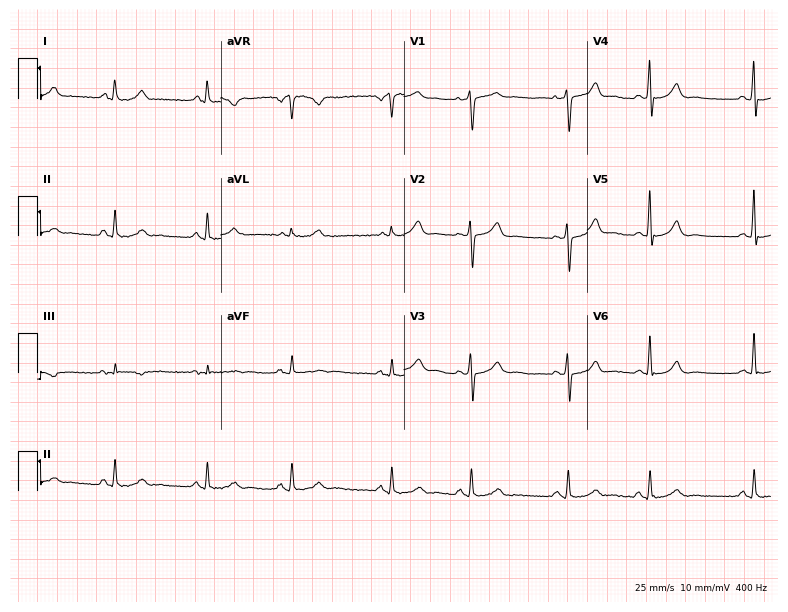
ECG (7.5-second recording at 400 Hz) — a 30-year-old female. Labelled as a normal ECG.